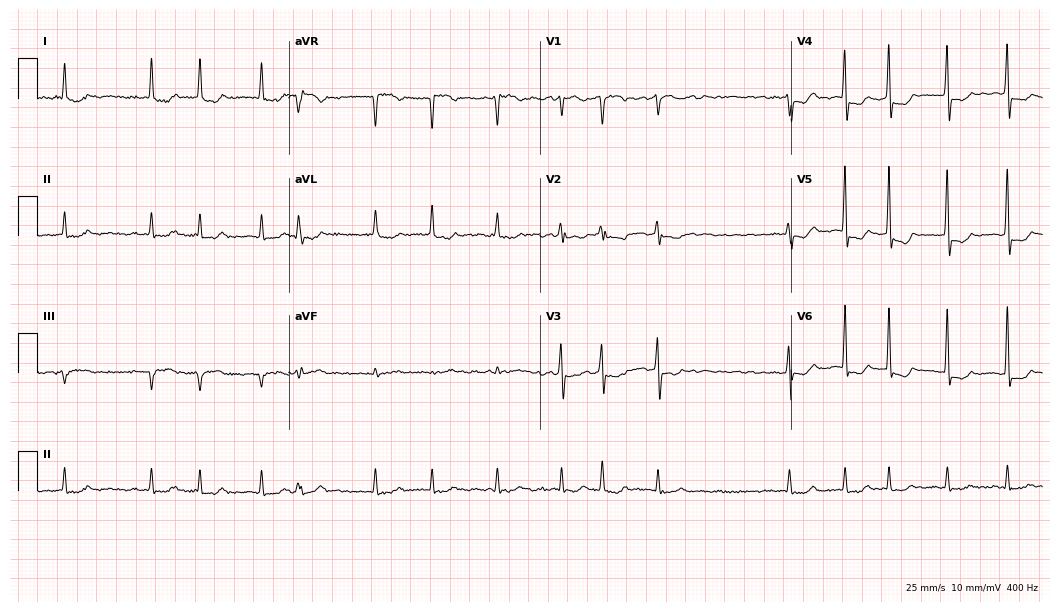
Standard 12-lead ECG recorded from a female, 71 years old (10.2-second recording at 400 Hz). The tracing shows atrial fibrillation.